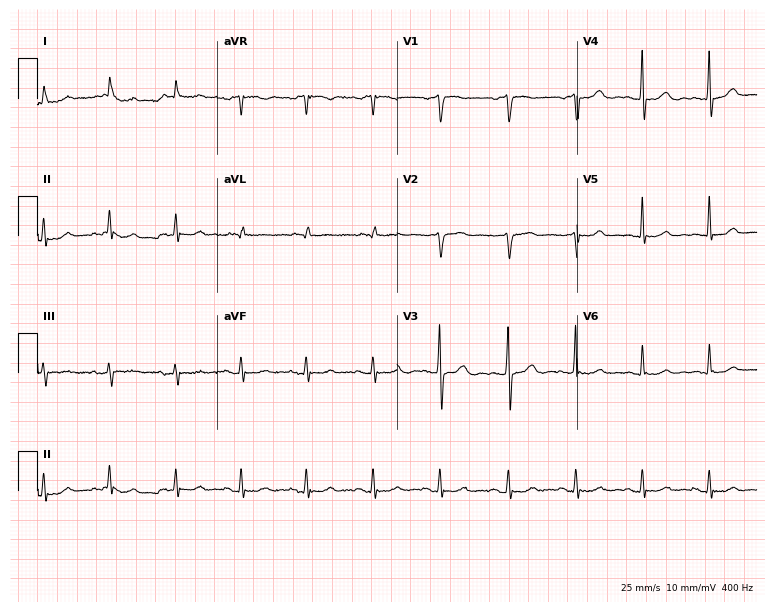
ECG (7.3-second recording at 400 Hz) — a female patient, 74 years old. Labelled as a normal ECG.